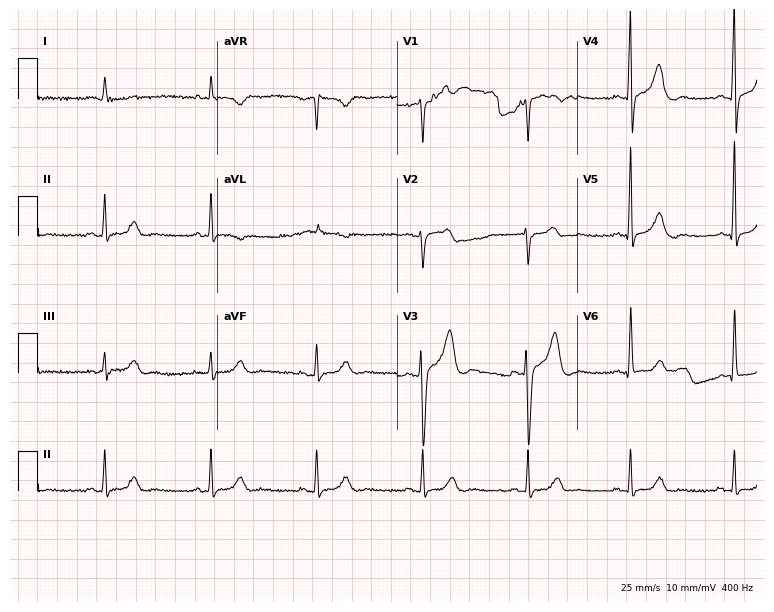
Electrocardiogram (7.3-second recording at 400 Hz), a male, 66 years old. Overall reading on record: normal ECG.